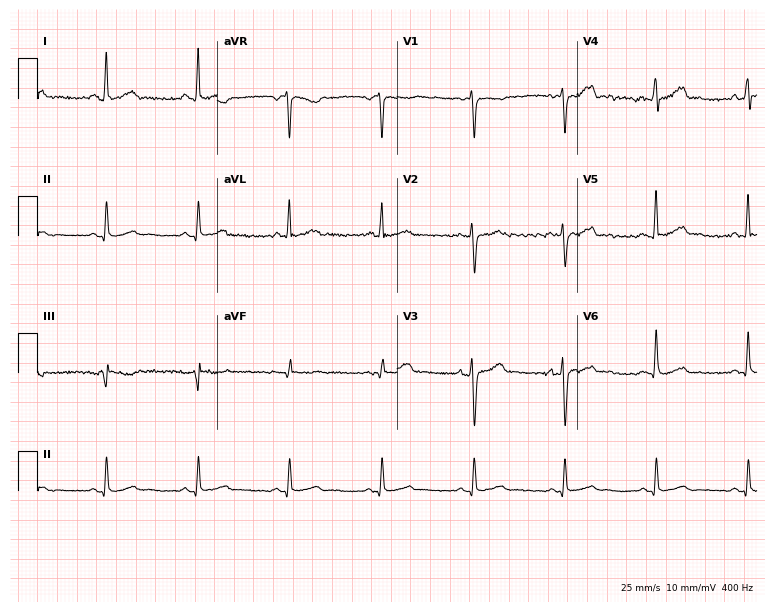
Electrocardiogram (7.3-second recording at 400 Hz), a 44-year-old female patient. Overall reading on record: normal ECG.